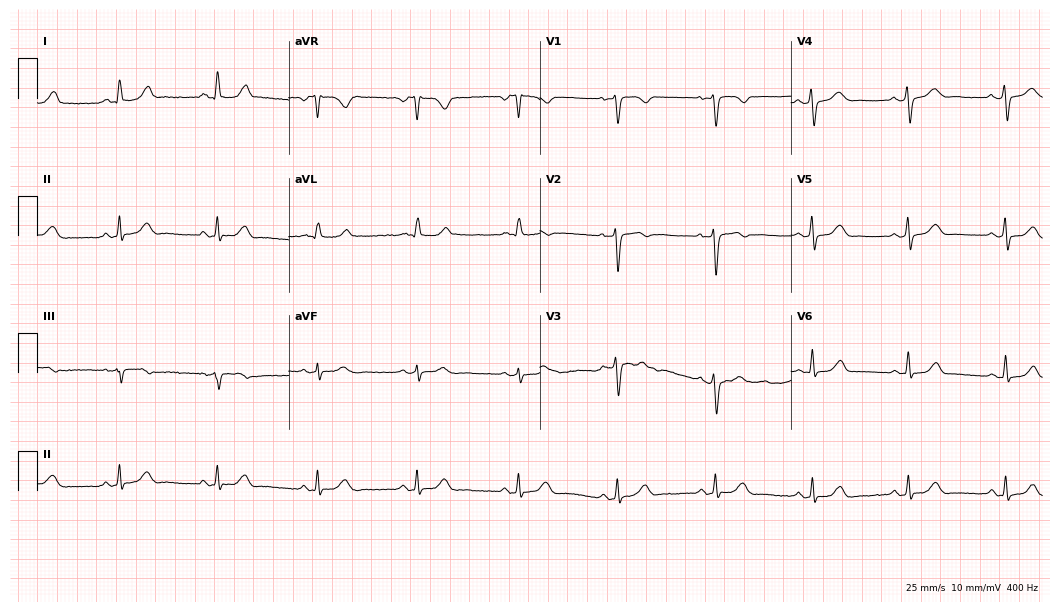
ECG — a female, 46 years old. Labelled as a normal ECG.